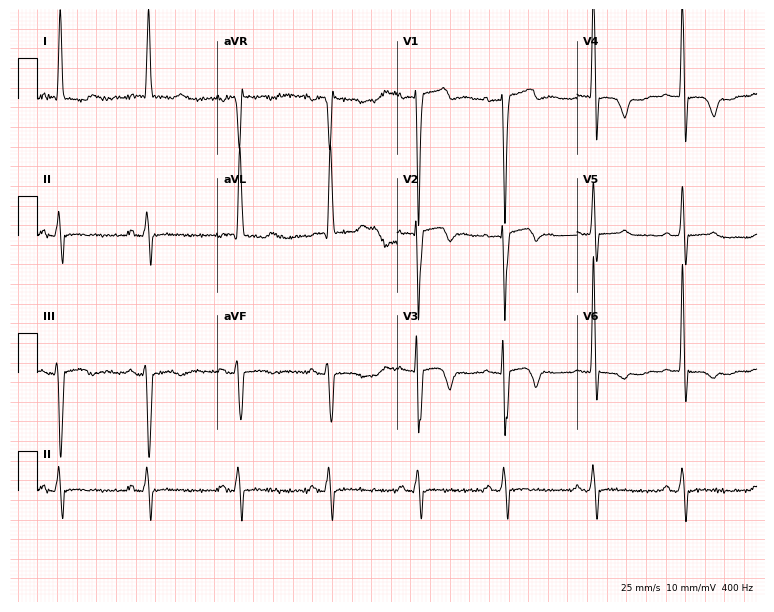
Standard 12-lead ECG recorded from an 84-year-old female patient. None of these six findings is recorded: first-degree AV block, right bundle branch block, left bundle branch block, sinus bradycardia, atrial fibrillation, sinus tachycardia.